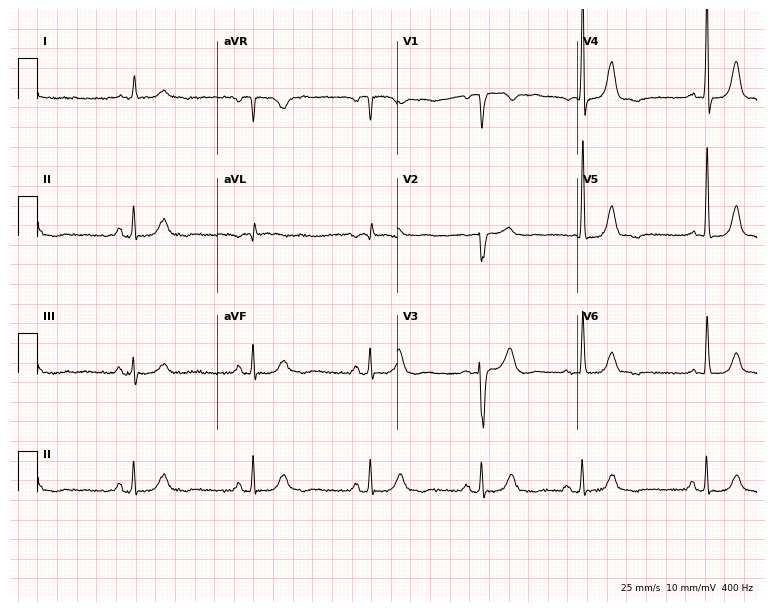
12-lead ECG from an 83-year-old man (7.3-second recording at 400 Hz). No first-degree AV block, right bundle branch block, left bundle branch block, sinus bradycardia, atrial fibrillation or sinus tachycardia recorded for this tracing. Other findings, if any, are not listed.